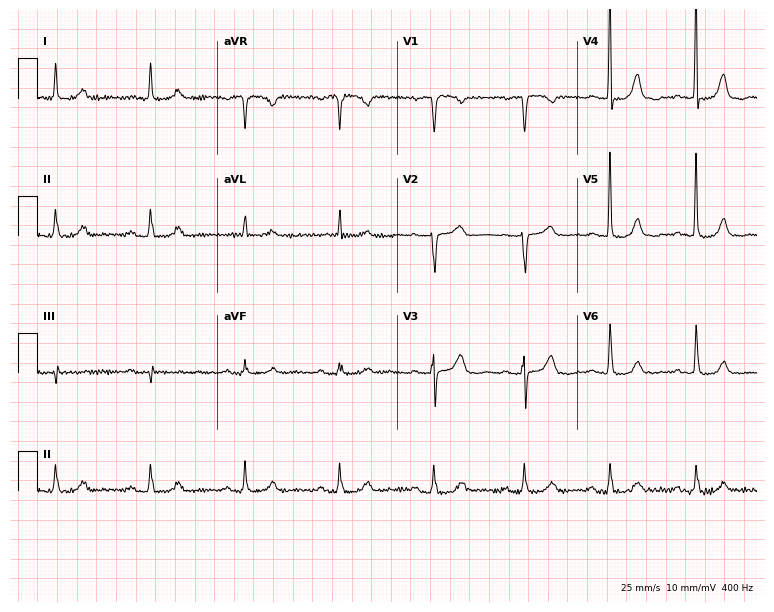
12-lead ECG from a female, 85 years old. Findings include first-degree AV block.